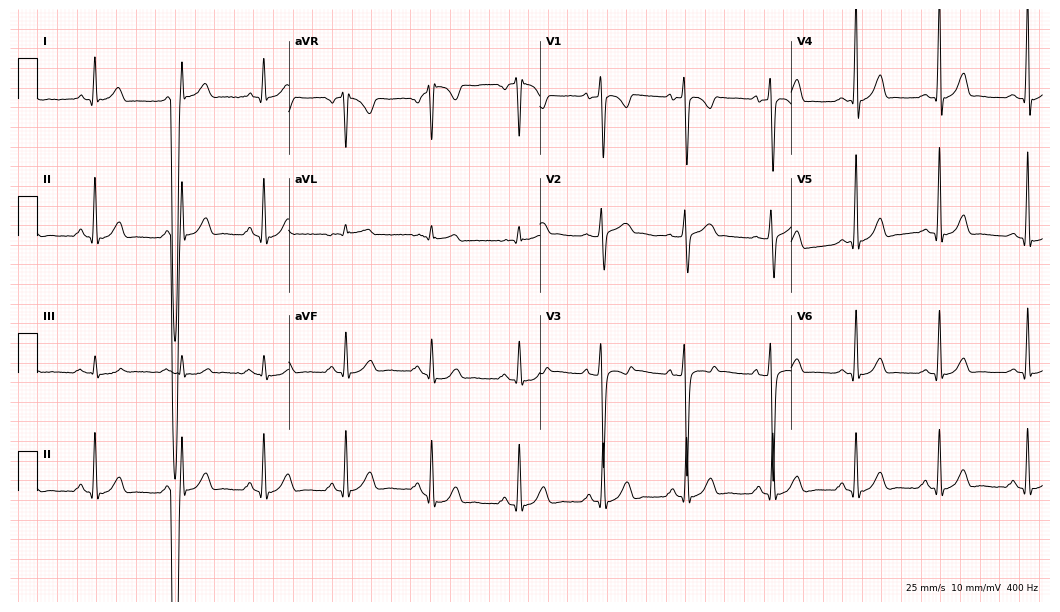
12-lead ECG from a 25-year-old male patient. Labelled as a normal ECG.